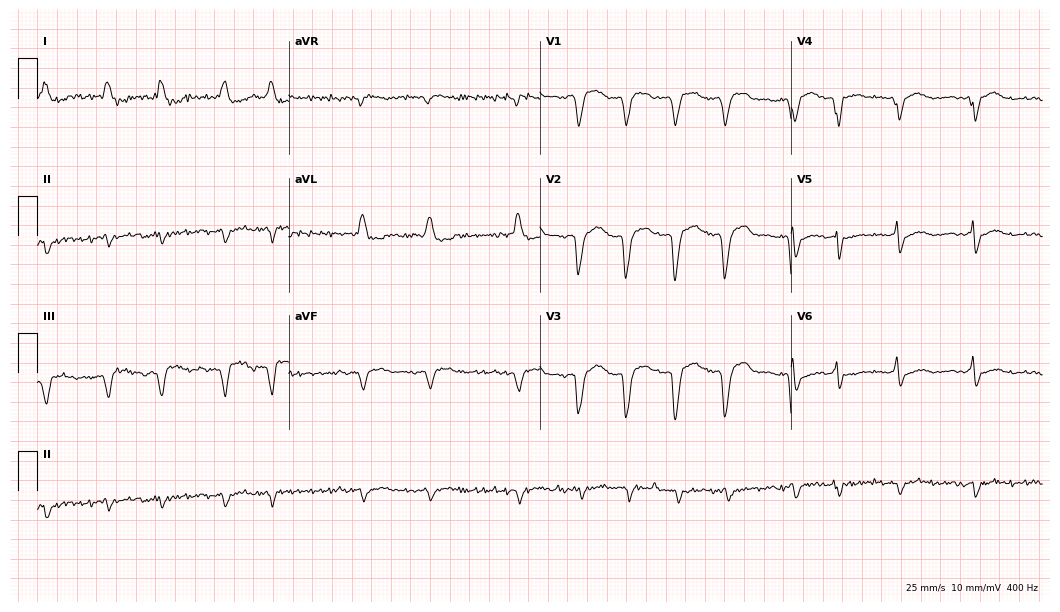
12-lead ECG from a 78-year-old male patient. No first-degree AV block, right bundle branch block, left bundle branch block, sinus bradycardia, atrial fibrillation or sinus tachycardia recorded for this tracing.